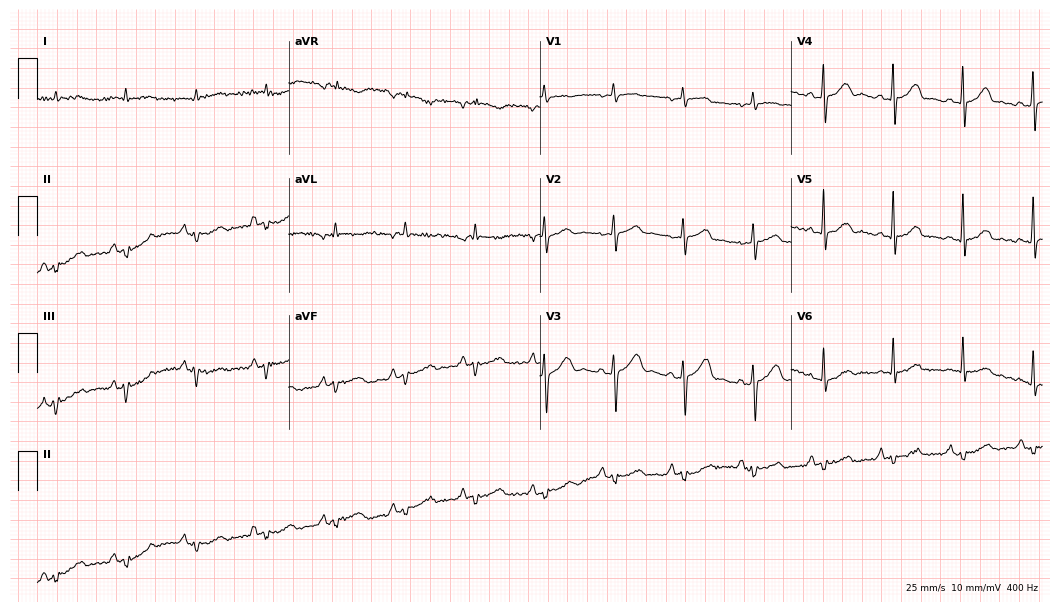
Standard 12-lead ECG recorded from a male patient, 75 years old. None of these six findings is recorded: first-degree AV block, right bundle branch block, left bundle branch block, sinus bradycardia, atrial fibrillation, sinus tachycardia.